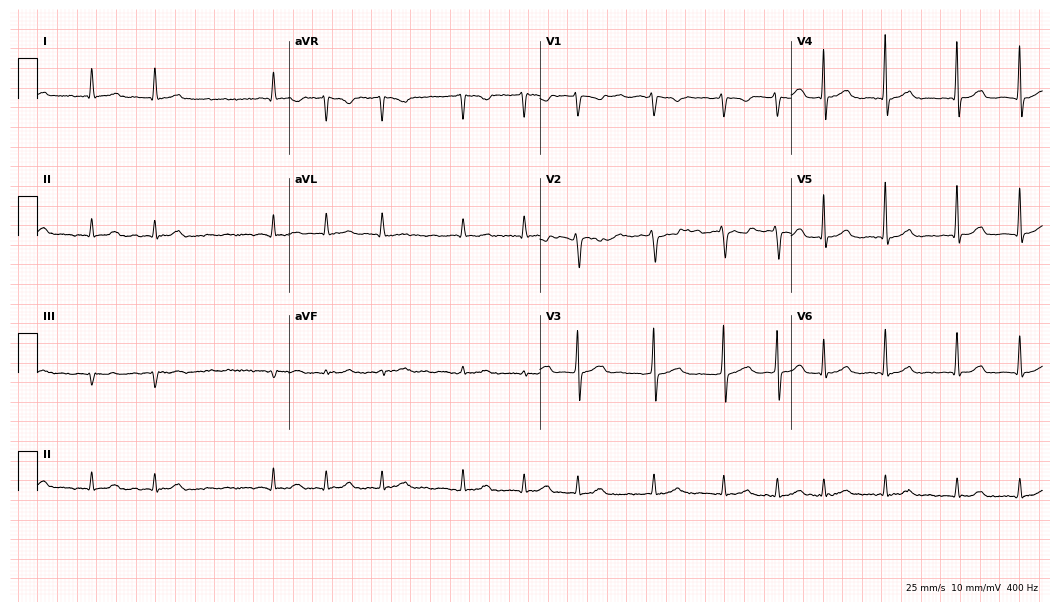
ECG — an 82-year-old woman. Findings include atrial fibrillation.